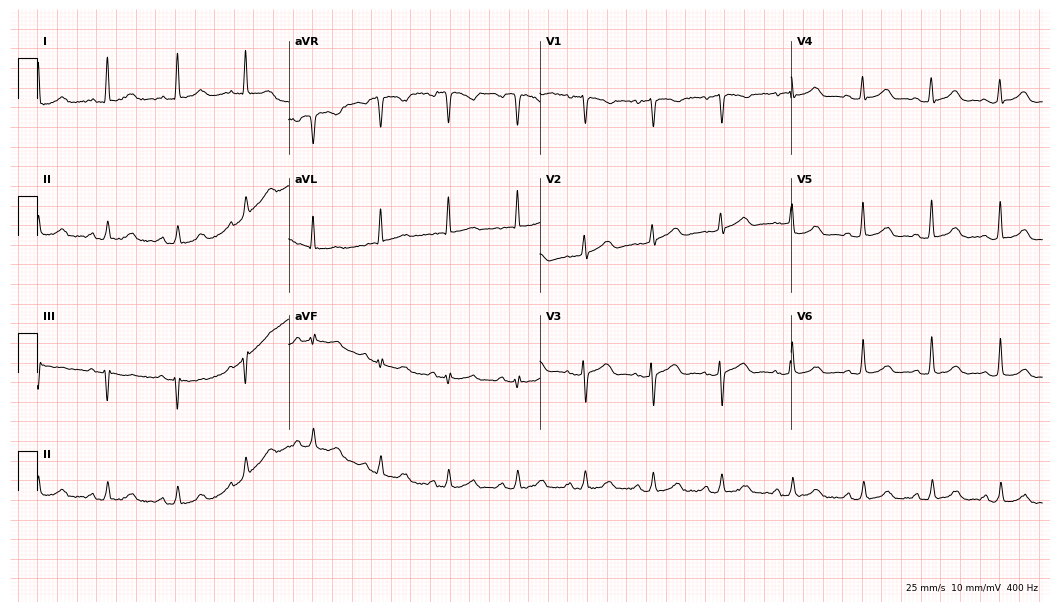
Standard 12-lead ECG recorded from a 60-year-old female. Read as a normal ECG.